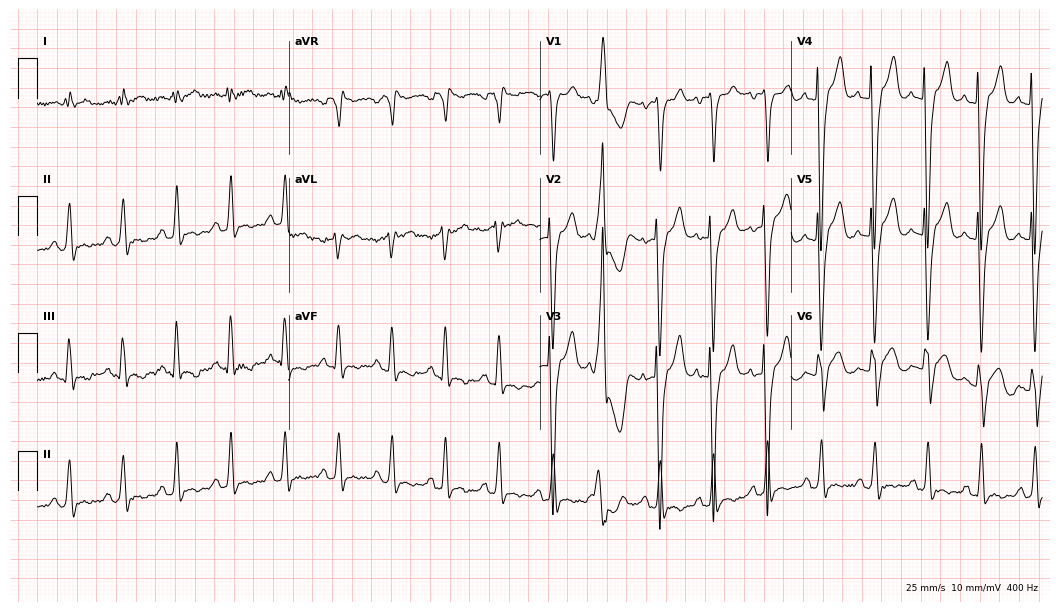
Standard 12-lead ECG recorded from a woman, 61 years old (10.2-second recording at 400 Hz). None of these six findings is recorded: first-degree AV block, right bundle branch block, left bundle branch block, sinus bradycardia, atrial fibrillation, sinus tachycardia.